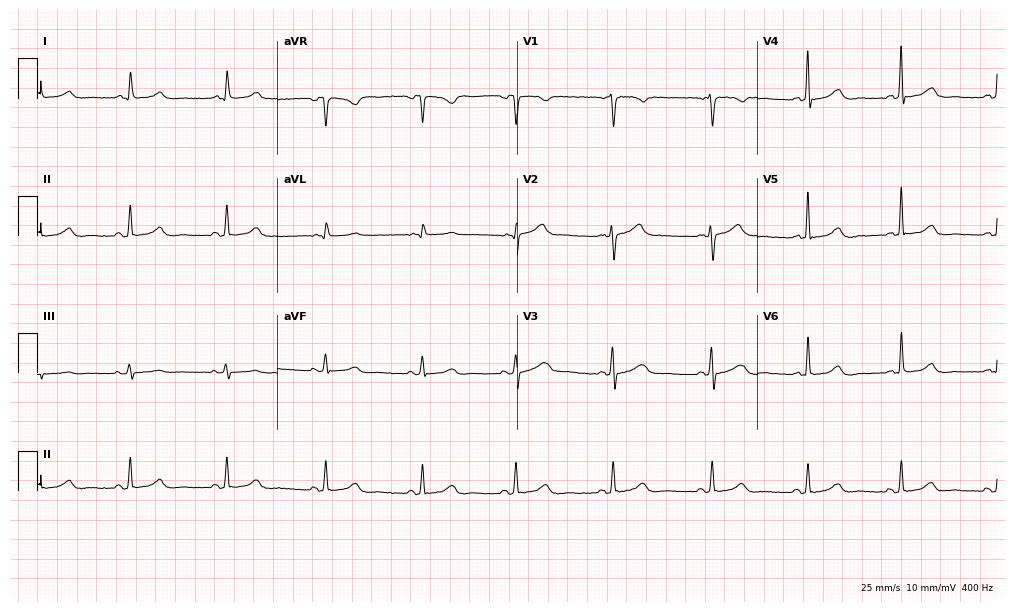
12-lead ECG from a 48-year-old woman (9.8-second recording at 400 Hz). Recorded interpretation: within normal limits.